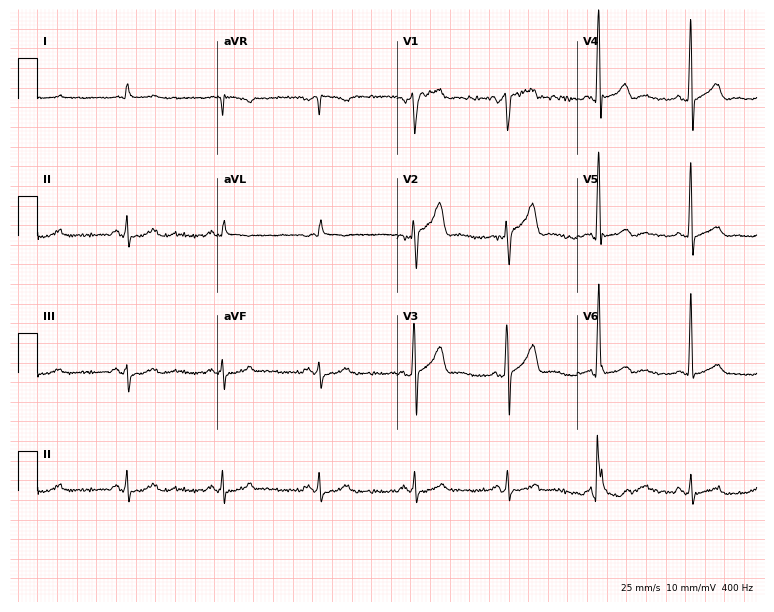
12-lead ECG (7.3-second recording at 400 Hz) from a 56-year-old male. Screened for six findings — first-degree AV block, right bundle branch block (RBBB), left bundle branch block (LBBB), sinus bradycardia, atrial fibrillation (AF), sinus tachycardia — none is recorded. Other findings, if any, are not listed.